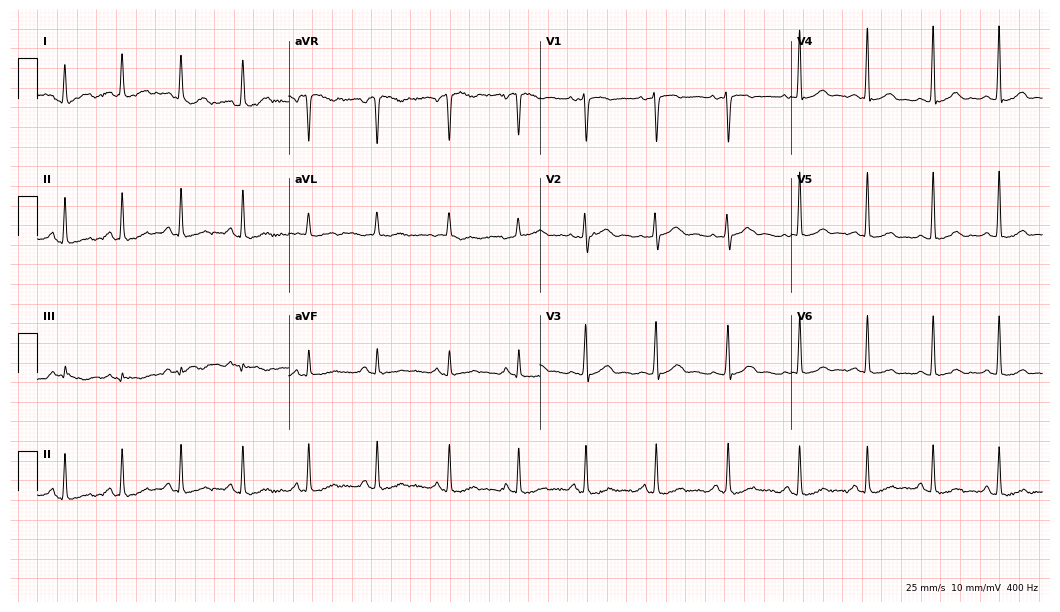
Standard 12-lead ECG recorded from a female, 32 years old (10.2-second recording at 400 Hz). None of these six findings is recorded: first-degree AV block, right bundle branch block, left bundle branch block, sinus bradycardia, atrial fibrillation, sinus tachycardia. Findings outside these six are not listed.